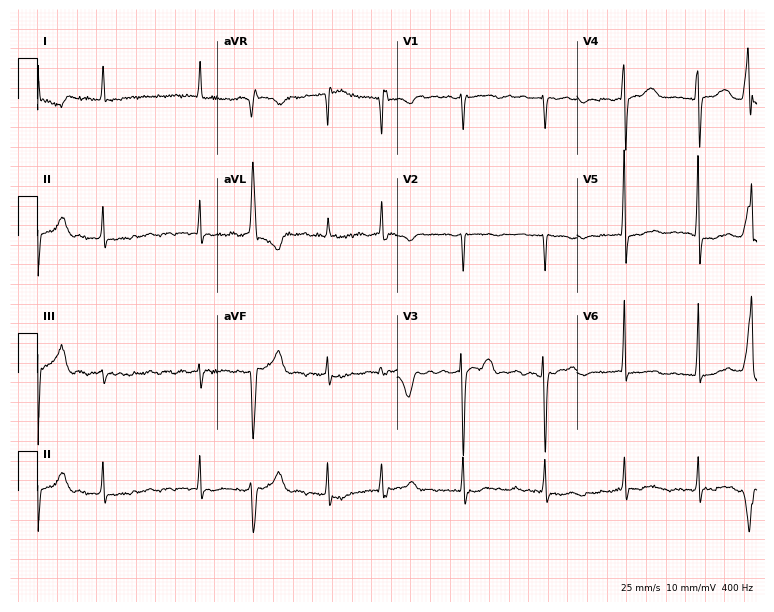
12-lead ECG from a female, 68 years old. Findings include atrial fibrillation.